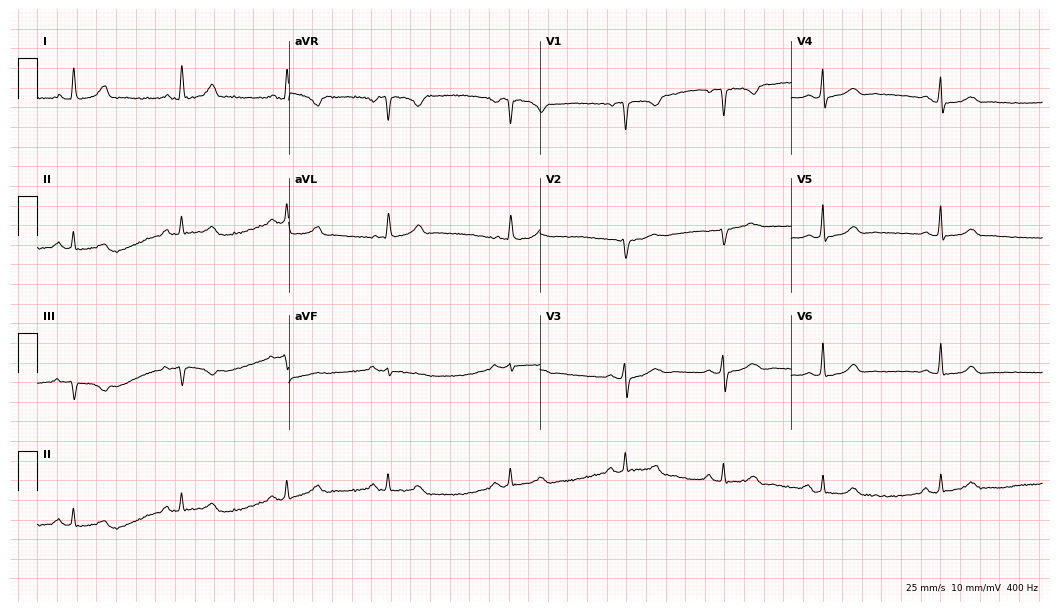
Resting 12-lead electrocardiogram. Patient: a female, 42 years old. Read as a normal ECG.